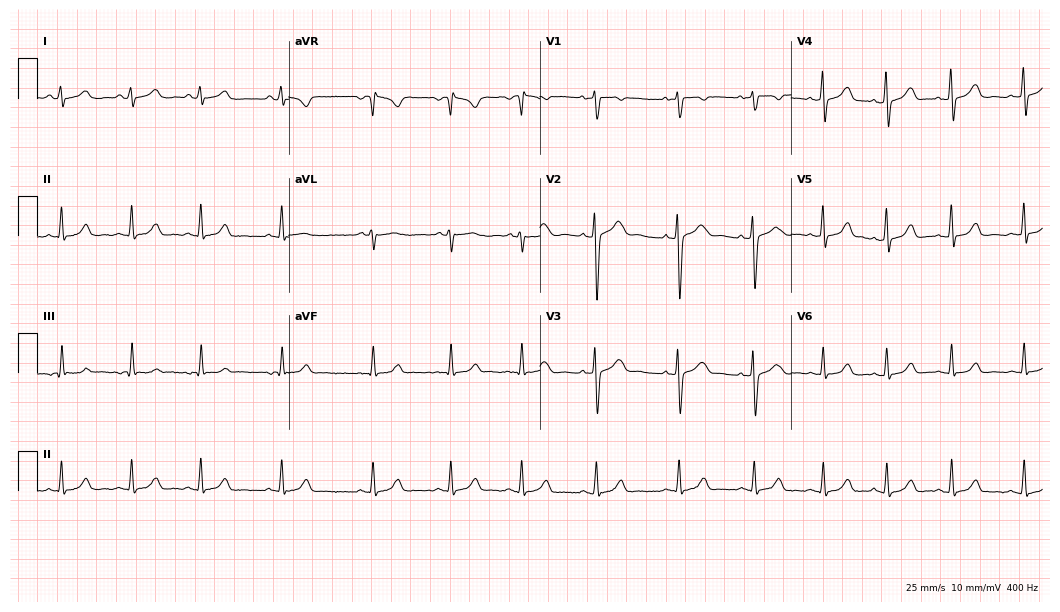
Standard 12-lead ECG recorded from a 25-year-old female patient. Read as a normal ECG.